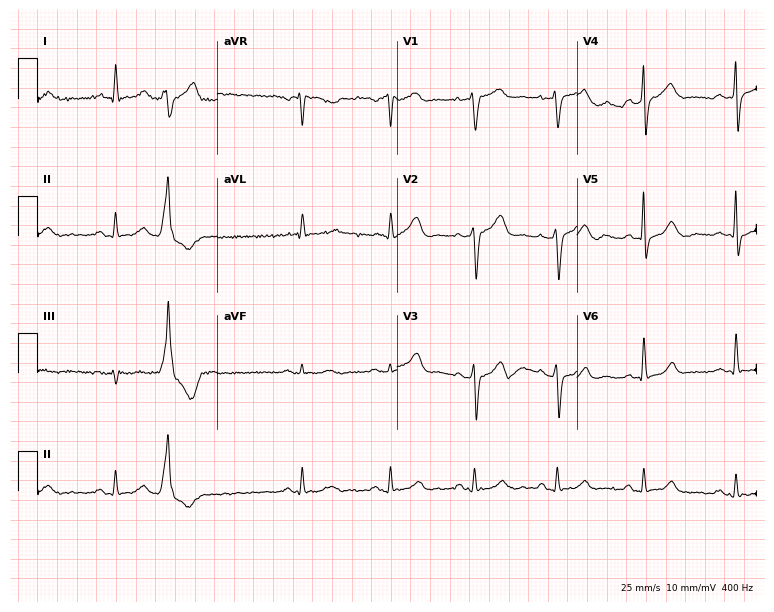
12-lead ECG (7.3-second recording at 400 Hz) from a man, 56 years old. Screened for six findings — first-degree AV block, right bundle branch block, left bundle branch block, sinus bradycardia, atrial fibrillation, sinus tachycardia — none is recorded. Only these six findings were labelled.